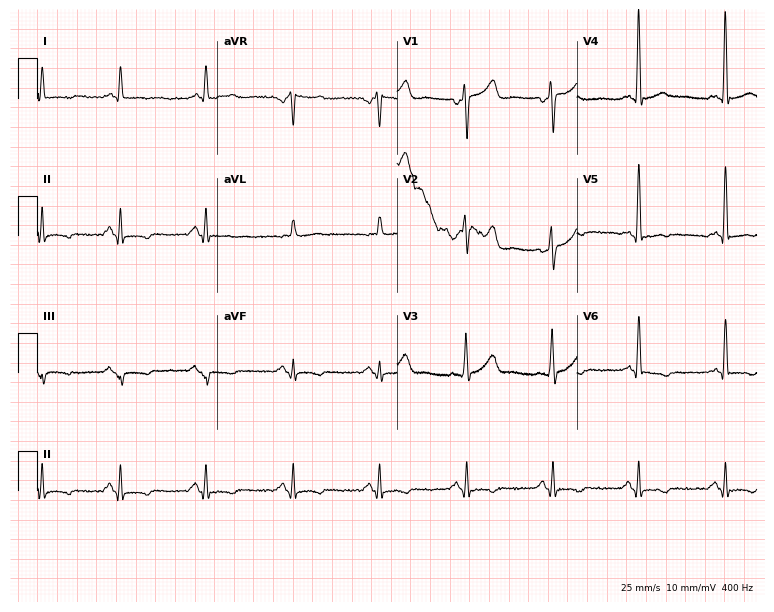
Standard 12-lead ECG recorded from a 61-year-old male. None of these six findings is recorded: first-degree AV block, right bundle branch block, left bundle branch block, sinus bradycardia, atrial fibrillation, sinus tachycardia.